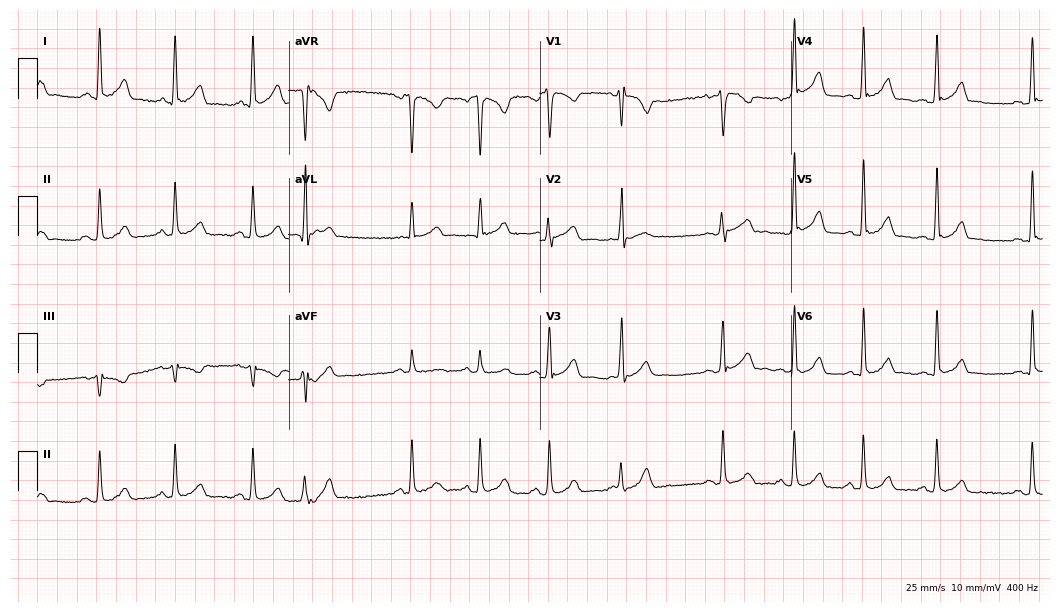
12-lead ECG from a 39-year-old woman (10.2-second recording at 400 Hz). No first-degree AV block, right bundle branch block, left bundle branch block, sinus bradycardia, atrial fibrillation or sinus tachycardia recorded for this tracing.